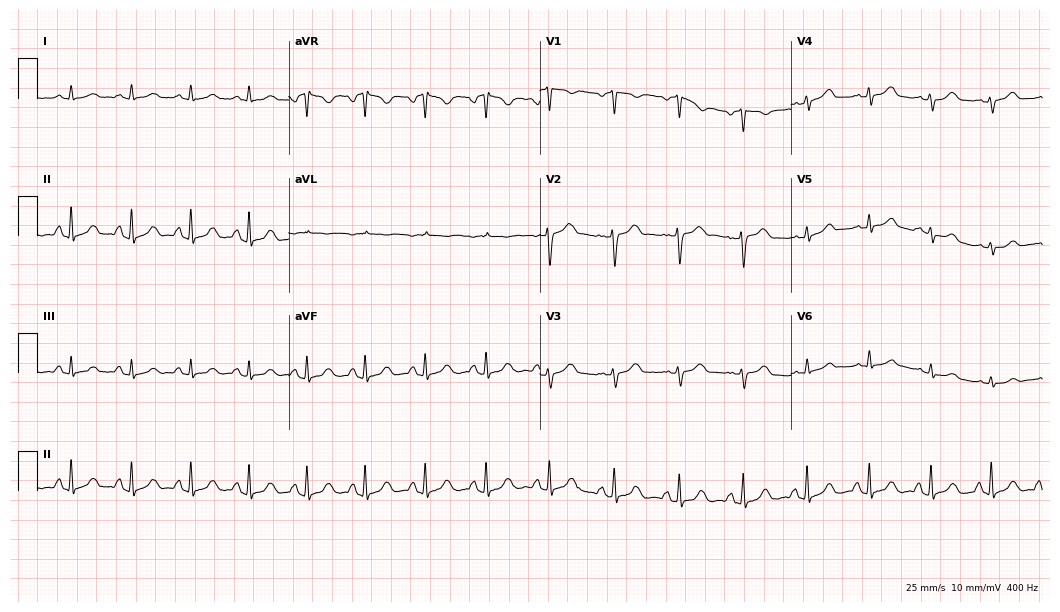
Resting 12-lead electrocardiogram (10.2-second recording at 400 Hz). Patient: a female, 43 years old. None of these six findings is recorded: first-degree AV block, right bundle branch block, left bundle branch block, sinus bradycardia, atrial fibrillation, sinus tachycardia. Only these six findings were labelled.